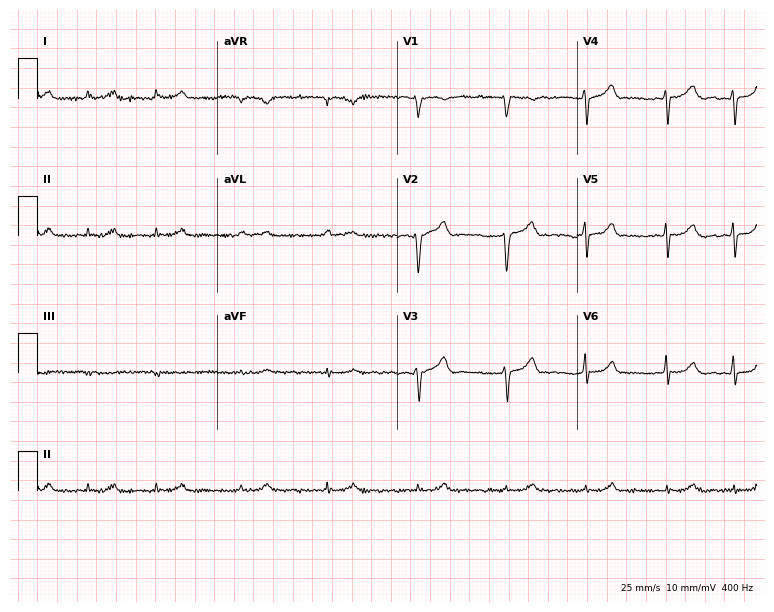
Resting 12-lead electrocardiogram. Patient: a 69-year-old male. The tracing shows atrial fibrillation.